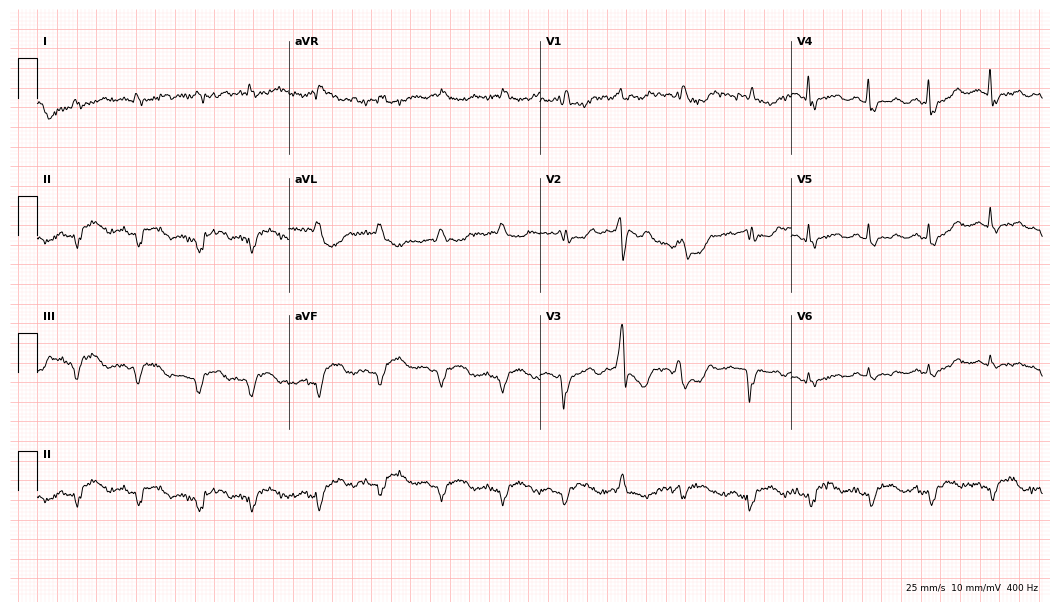
ECG (10.2-second recording at 400 Hz) — a 70-year-old woman. Screened for six findings — first-degree AV block, right bundle branch block (RBBB), left bundle branch block (LBBB), sinus bradycardia, atrial fibrillation (AF), sinus tachycardia — none is recorded.